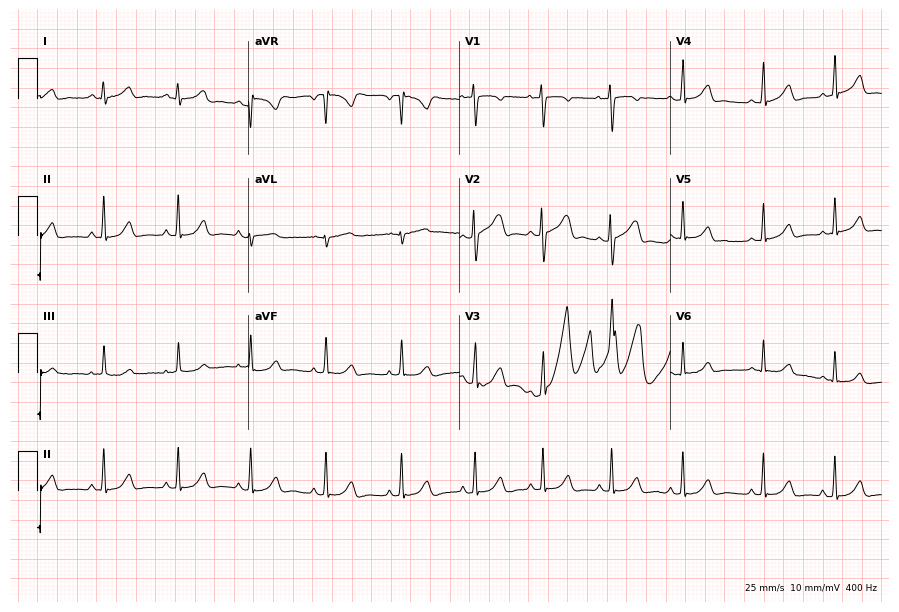
Standard 12-lead ECG recorded from a female patient, 19 years old. Read as a normal ECG.